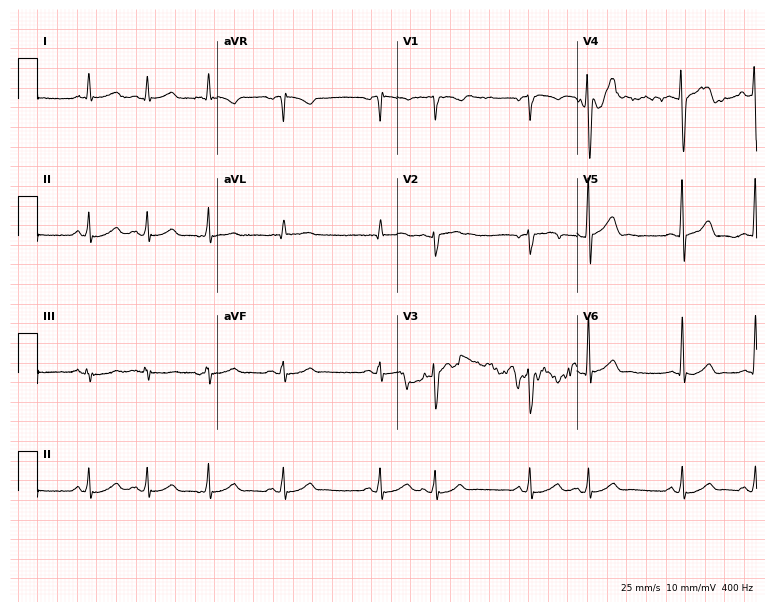
Electrocardiogram (7.3-second recording at 400 Hz), a 72-year-old male. Of the six screened findings (first-degree AV block, right bundle branch block, left bundle branch block, sinus bradycardia, atrial fibrillation, sinus tachycardia), none is recorded.